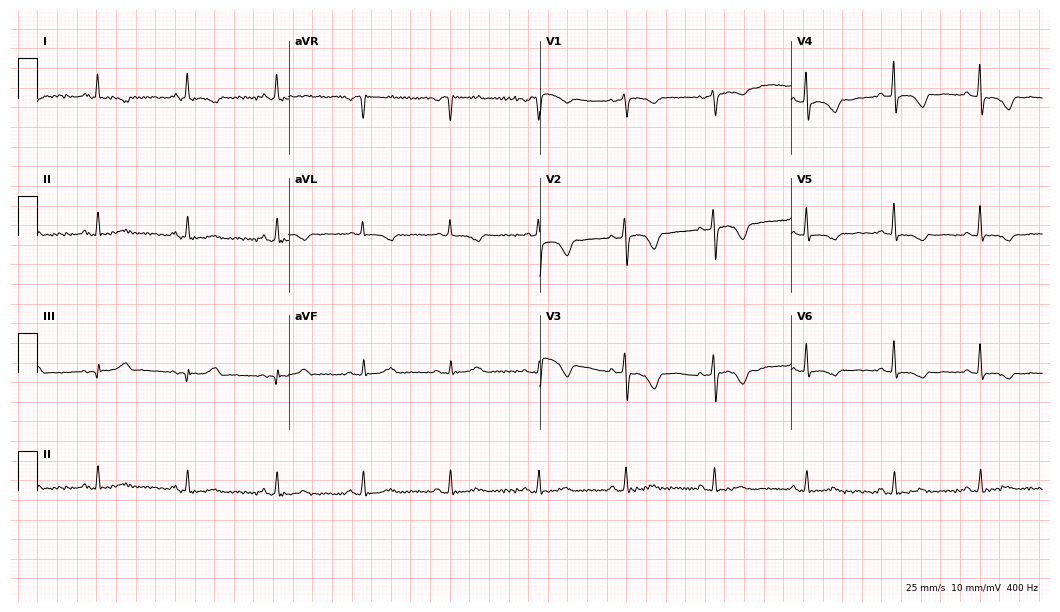
12-lead ECG from a 60-year-old female patient. Screened for six findings — first-degree AV block, right bundle branch block, left bundle branch block, sinus bradycardia, atrial fibrillation, sinus tachycardia — none is recorded.